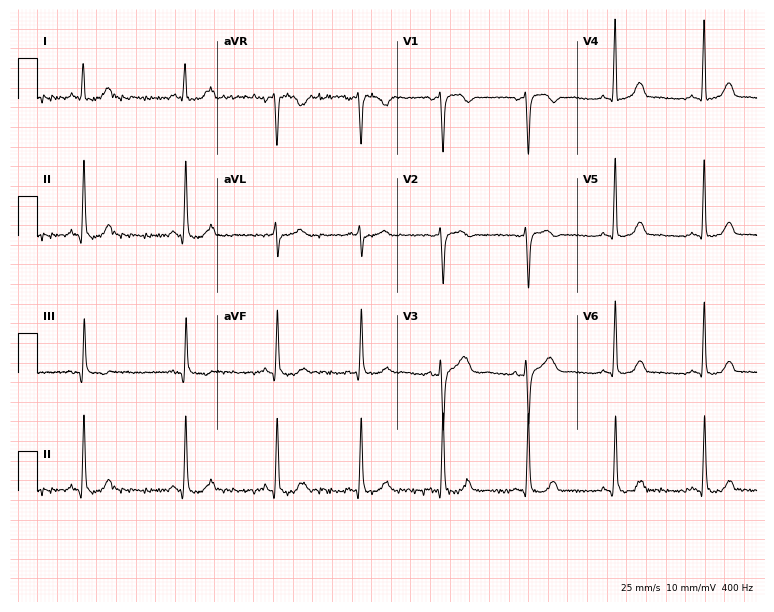
Standard 12-lead ECG recorded from a female, 43 years old. Read as a normal ECG.